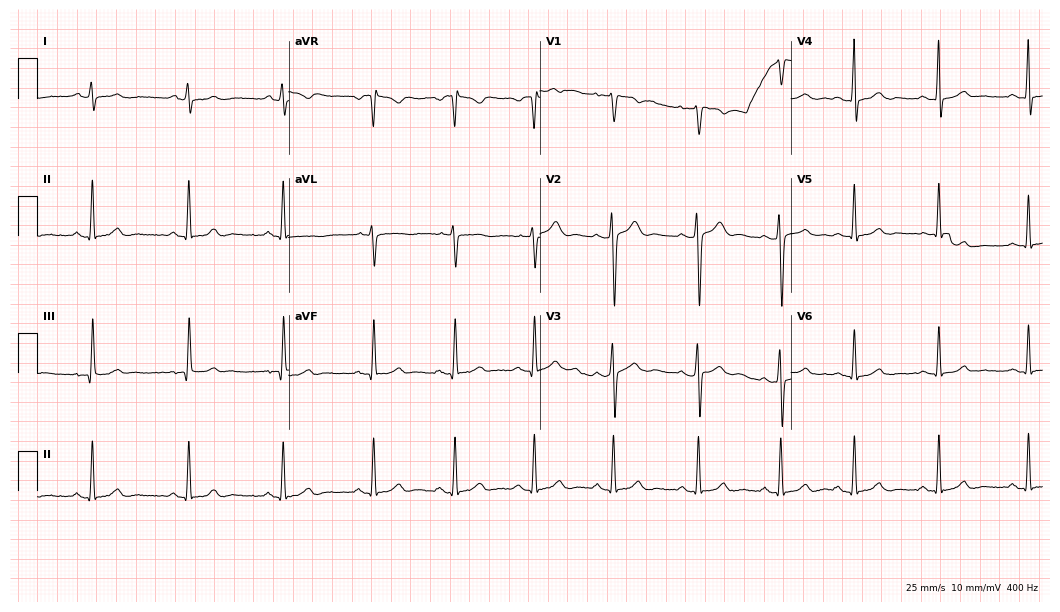
Electrocardiogram, a female patient, 23 years old. Of the six screened findings (first-degree AV block, right bundle branch block, left bundle branch block, sinus bradycardia, atrial fibrillation, sinus tachycardia), none is recorded.